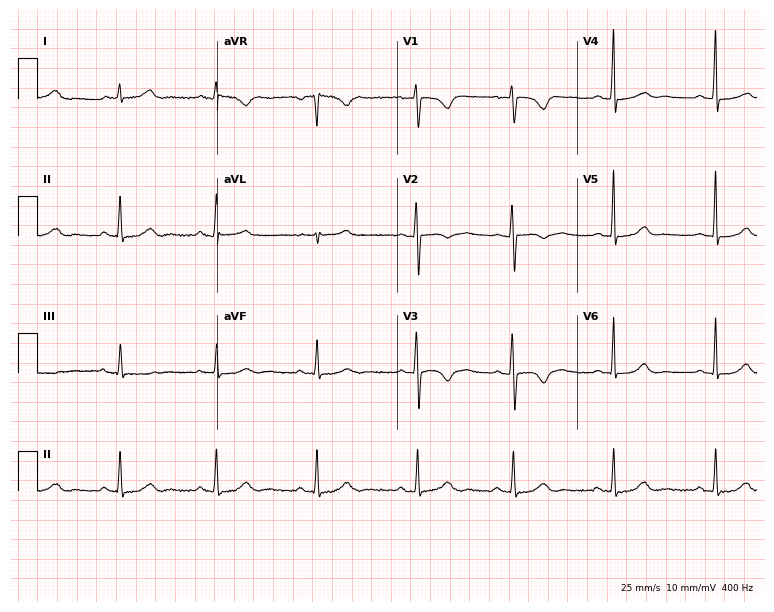
Resting 12-lead electrocardiogram. Patient: a 32-year-old woman. None of these six findings is recorded: first-degree AV block, right bundle branch block, left bundle branch block, sinus bradycardia, atrial fibrillation, sinus tachycardia.